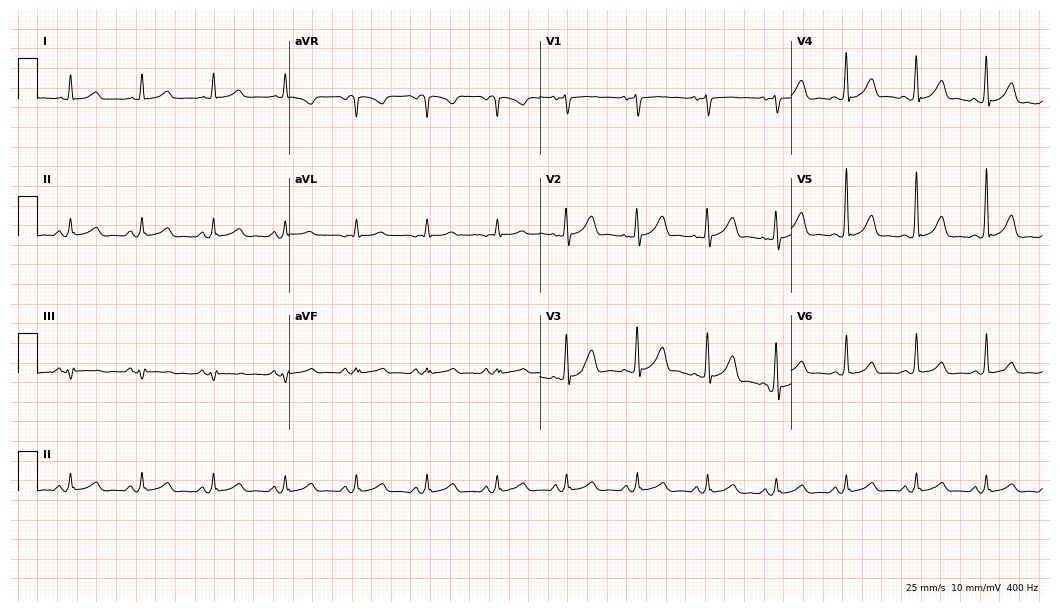
12-lead ECG from a man, 56 years old. Recorded interpretation: within normal limits.